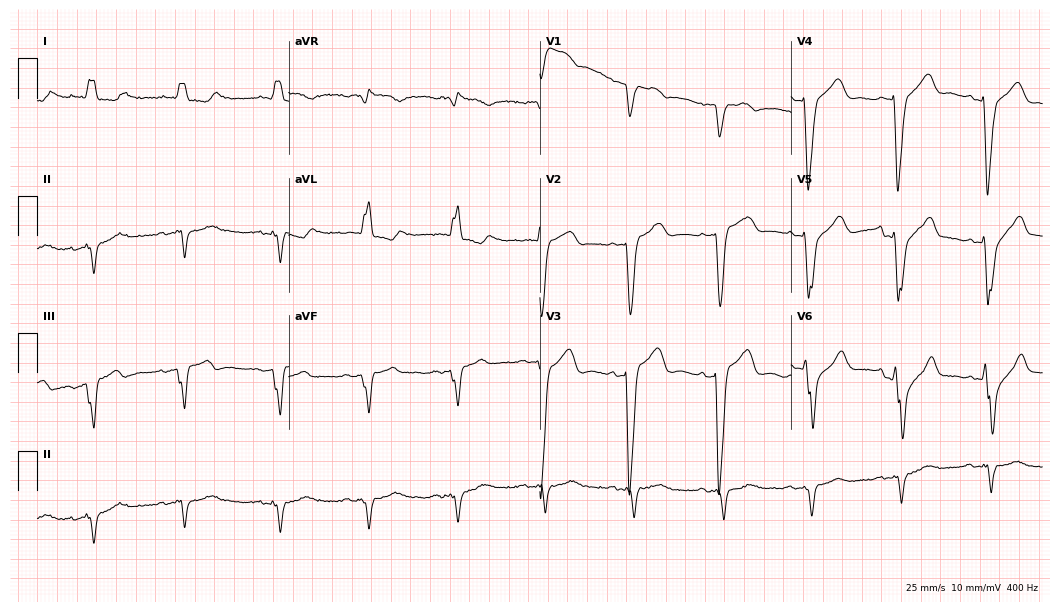
Resting 12-lead electrocardiogram. Patient: a 72-year-old woman. None of these six findings is recorded: first-degree AV block, right bundle branch block, left bundle branch block, sinus bradycardia, atrial fibrillation, sinus tachycardia.